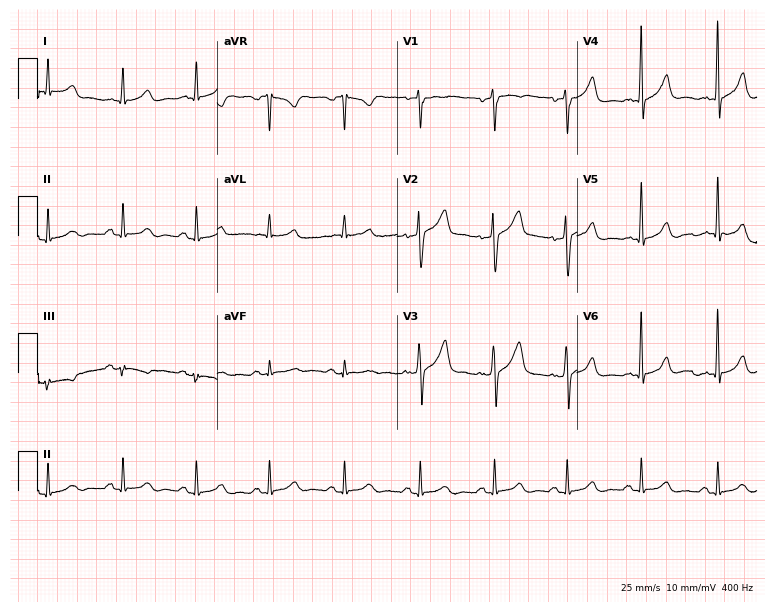
ECG (7.3-second recording at 400 Hz) — a 64-year-old man. Labelled as a normal ECG.